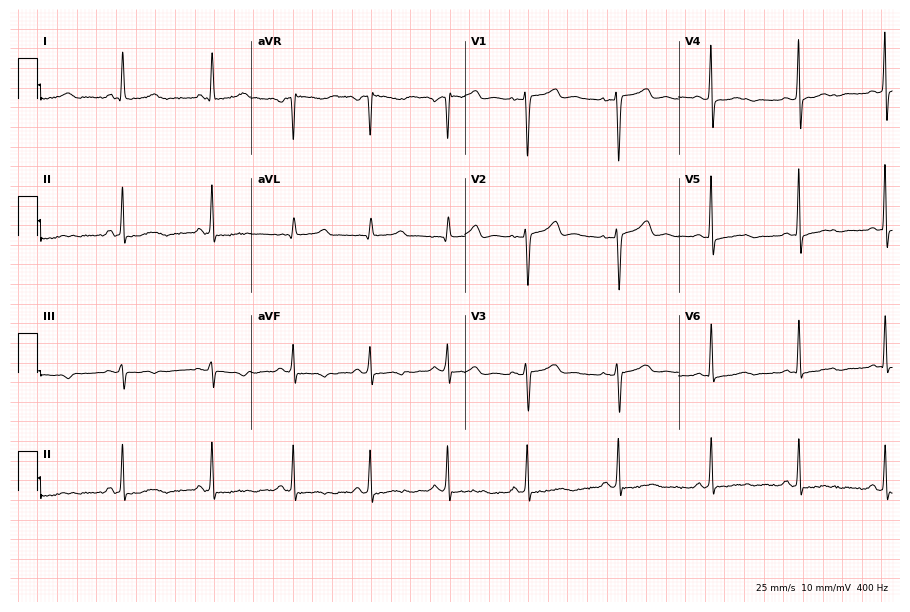
ECG (8.7-second recording at 400 Hz) — a female, 37 years old. Screened for six findings — first-degree AV block, right bundle branch block, left bundle branch block, sinus bradycardia, atrial fibrillation, sinus tachycardia — none is recorded. Findings outside these six are not listed.